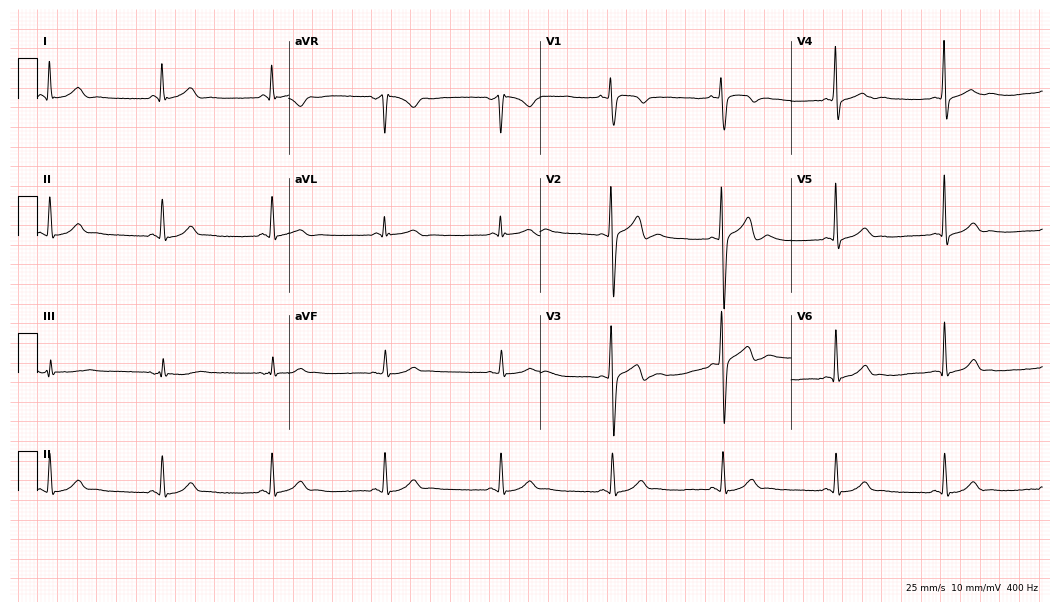
12-lead ECG (10.2-second recording at 400 Hz) from a male patient, 28 years old. Screened for six findings — first-degree AV block, right bundle branch block (RBBB), left bundle branch block (LBBB), sinus bradycardia, atrial fibrillation (AF), sinus tachycardia — none is recorded. Other findings, if any, are not listed.